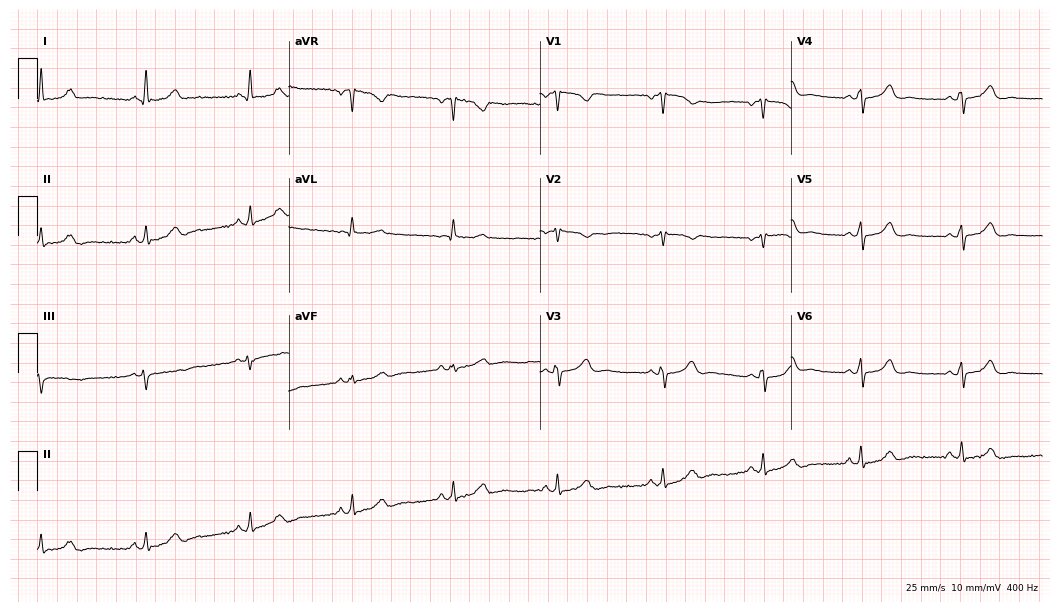
Resting 12-lead electrocardiogram (10.2-second recording at 400 Hz). Patient: a female, 39 years old. None of these six findings is recorded: first-degree AV block, right bundle branch block, left bundle branch block, sinus bradycardia, atrial fibrillation, sinus tachycardia. Only these six findings were labelled.